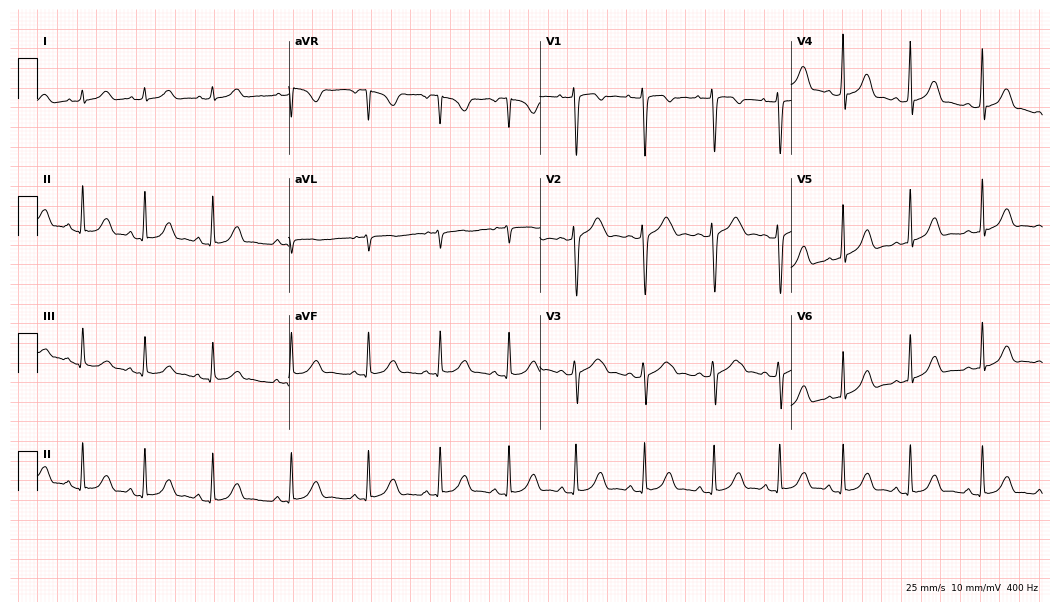
ECG (10.2-second recording at 400 Hz) — an 18-year-old woman. Screened for six findings — first-degree AV block, right bundle branch block, left bundle branch block, sinus bradycardia, atrial fibrillation, sinus tachycardia — none is recorded. Other findings, if any, are not listed.